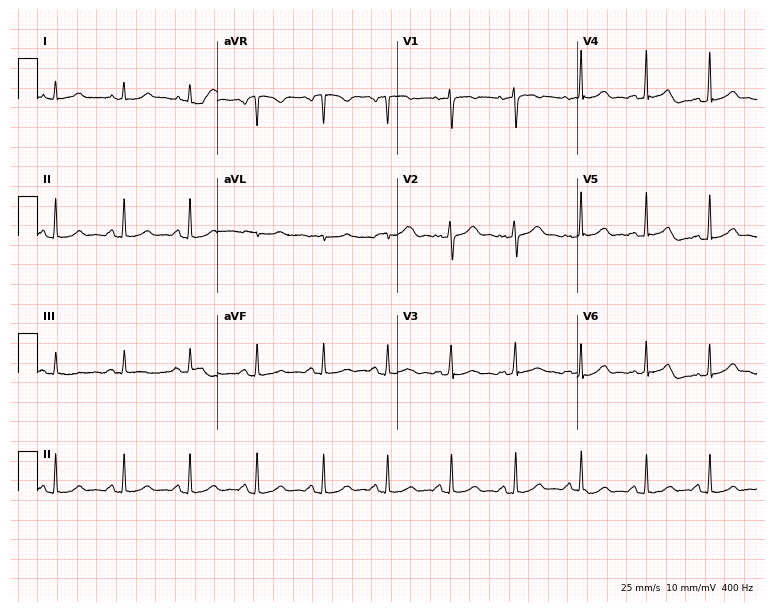
Standard 12-lead ECG recorded from a 41-year-old female (7.3-second recording at 400 Hz). Read as a normal ECG.